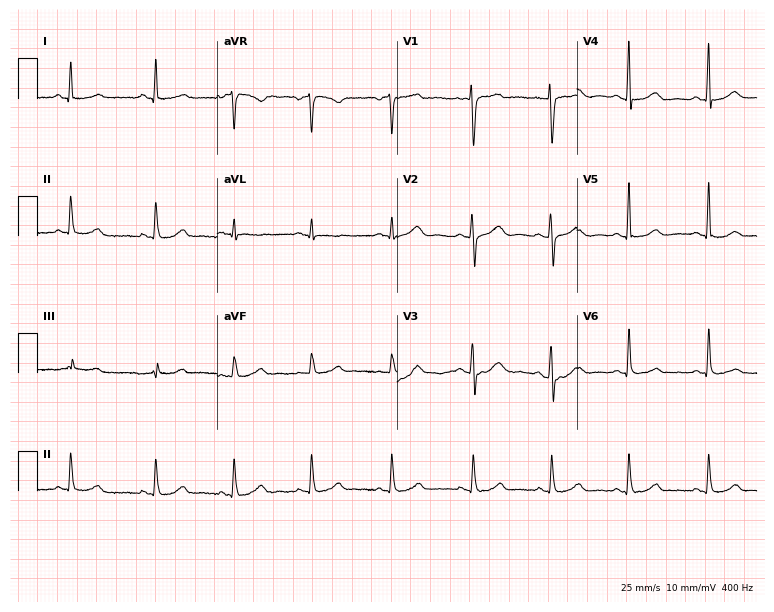
Resting 12-lead electrocardiogram. Patient: a 37-year-old female. None of these six findings is recorded: first-degree AV block, right bundle branch block, left bundle branch block, sinus bradycardia, atrial fibrillation, sinus tachycardia. Other findings, if any, are not listed.